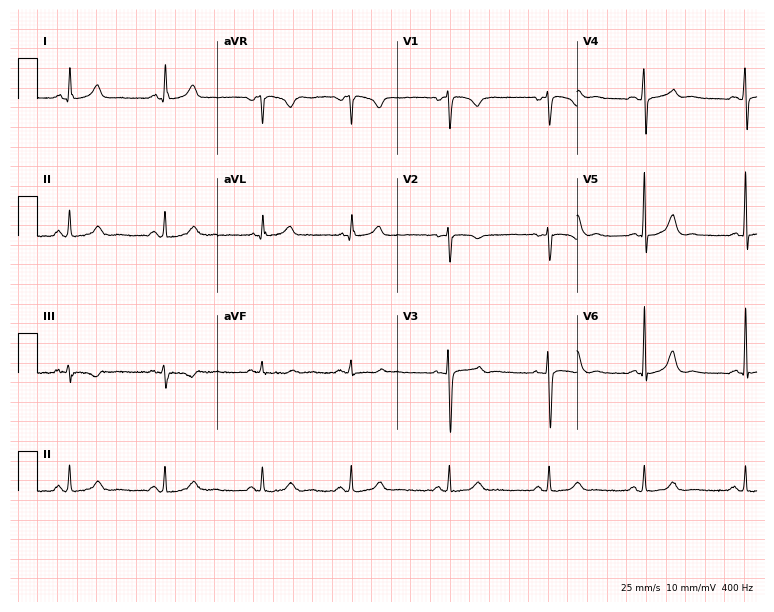
ECG — a woman, 37 years old. Labelled as a normal ECG.